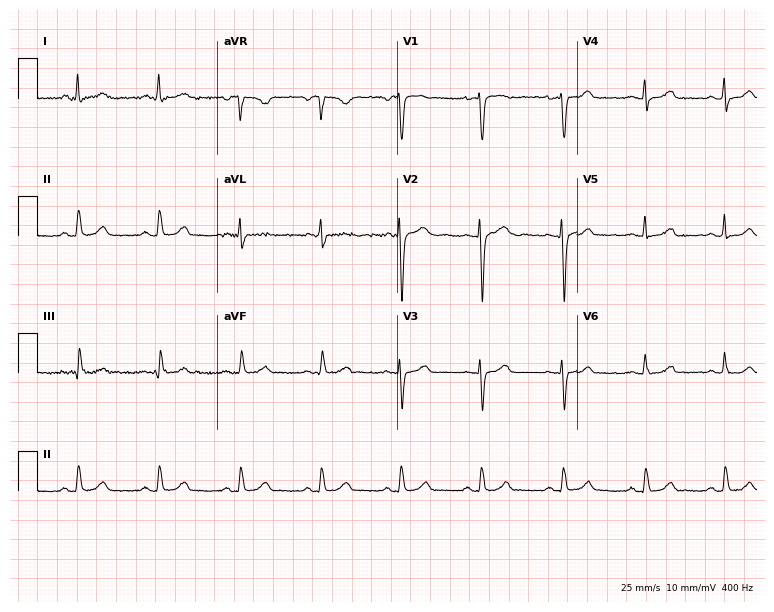
Resting 12-lead electrocardiogram. Patient: a 42-year-old woman. Read as a normal ECG.